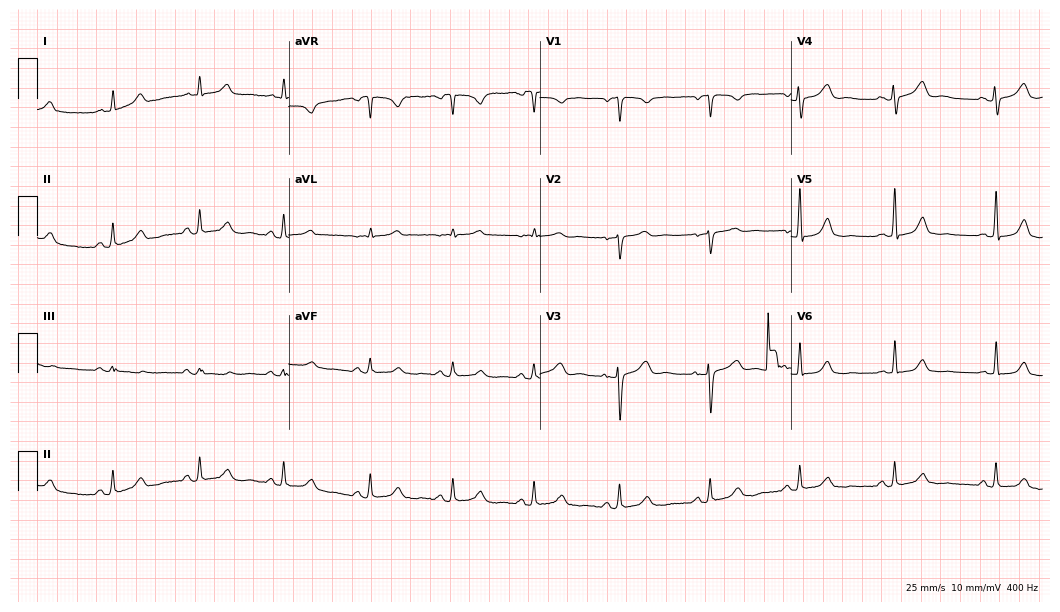
Electrocardiogram (10.2-second recording at 400 Hz), a 53-year-old female patient. Overall reading on record: normal ECG.